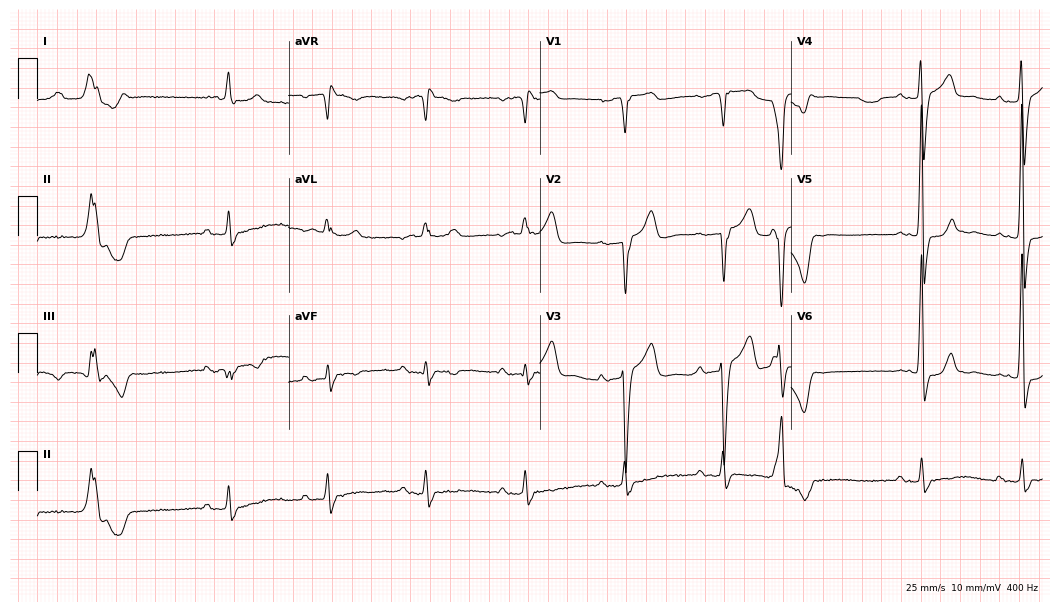
Standard 12-lead ECG recorded from a male, 72 years old. The tracing shows first-degree AV block, left bundle branch block.